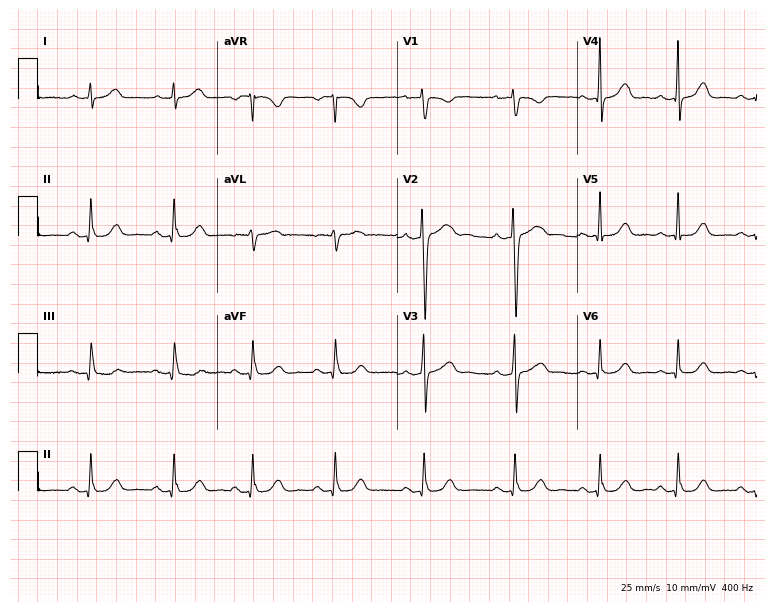
Electrocardiogram (7.3-second recording at 400 Hz), a 33-year-old female. Overall reading on record: normal ECG.